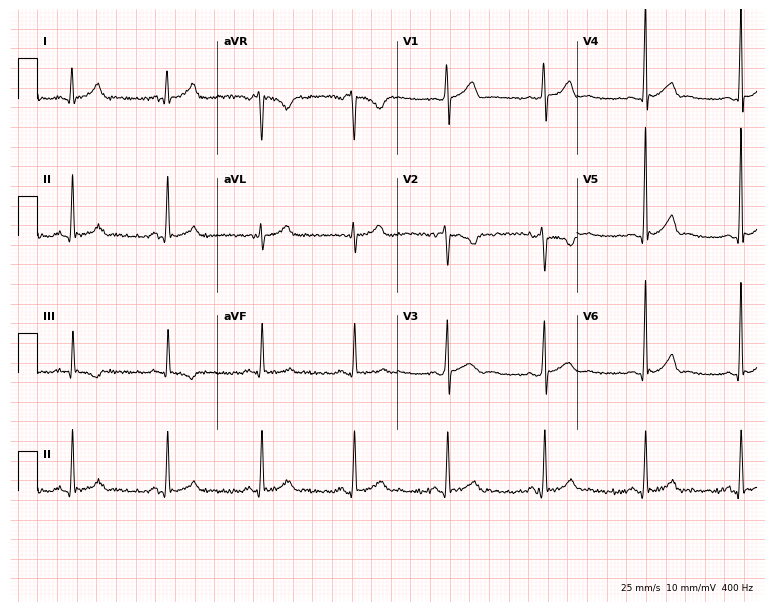
Electrocardiogram (7.3-second recording at 400 Hz), a male patient, 25 years old. Overall reading on record: normal ECG.